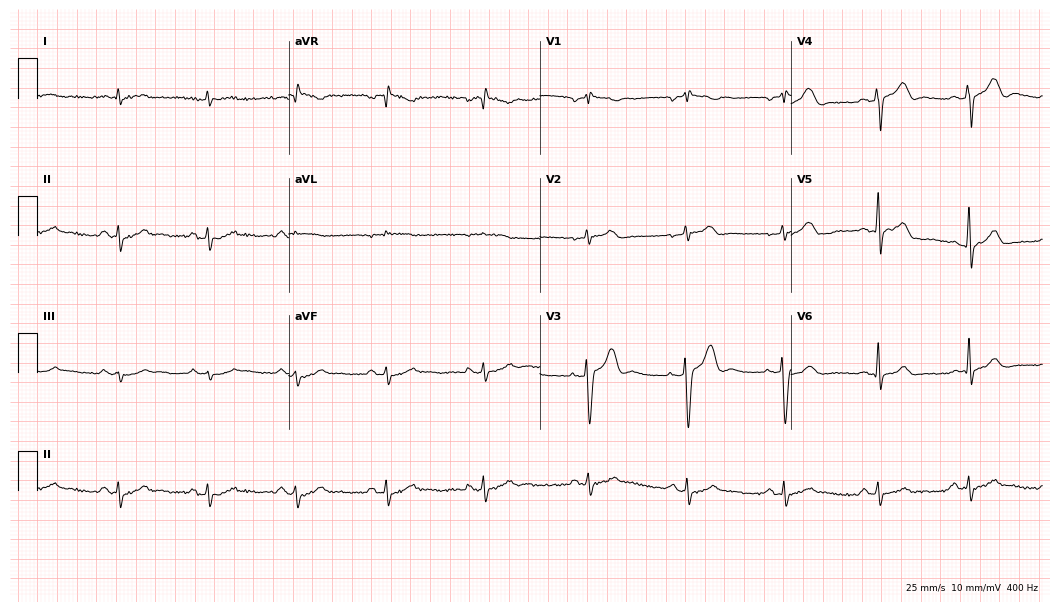
Resting 12-lead electrocardiogram. Patient: a 35-year-old man. Read as a normal ECG.